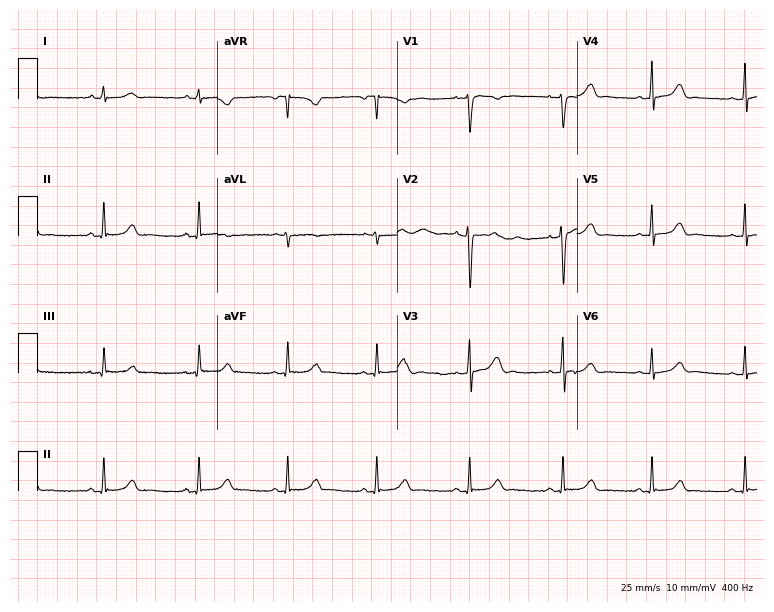
Resting 12-lead electrocardiogram. Patient: a woman, 23 years old. Read as a normal ECG.